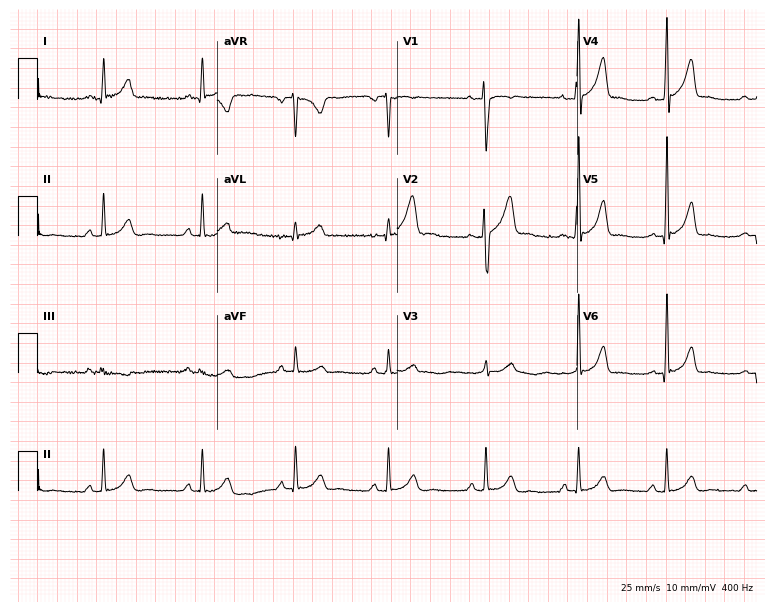
12-lead ECG from a man, 20 years old (7.3-second recording at 400 Hz). Recorded interpretation: within normal limits.